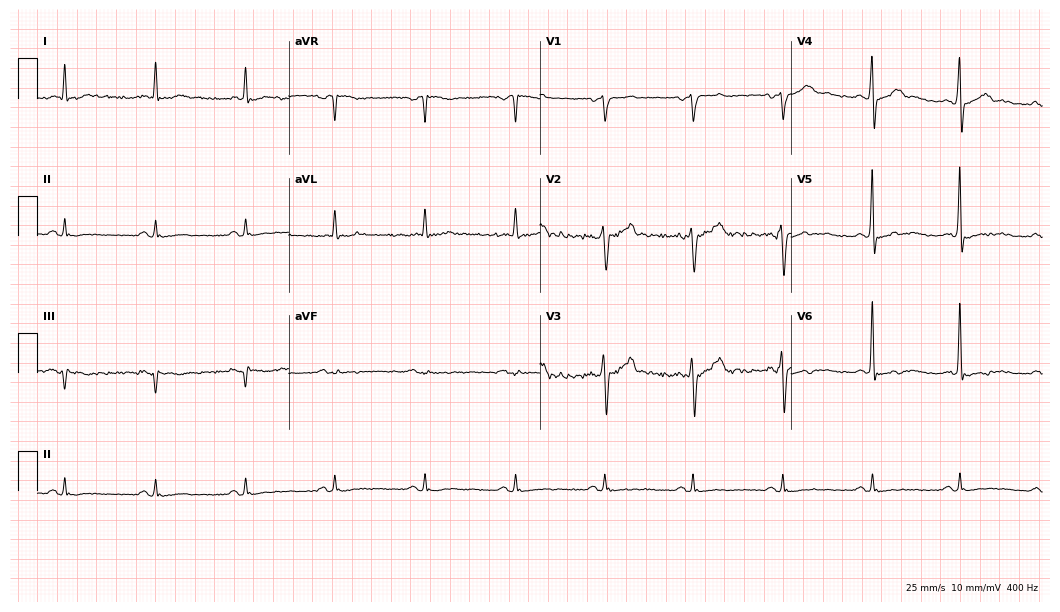
Standard 12-lead ECG recorded from a 57-year-old man. None of these six findings is recorded: first-degree AV block, right bundle branch block (RBBB), left bundle branch block (LBBB), sinus bradycardia, atrial fibrillation (AF), sinus tachycardia.